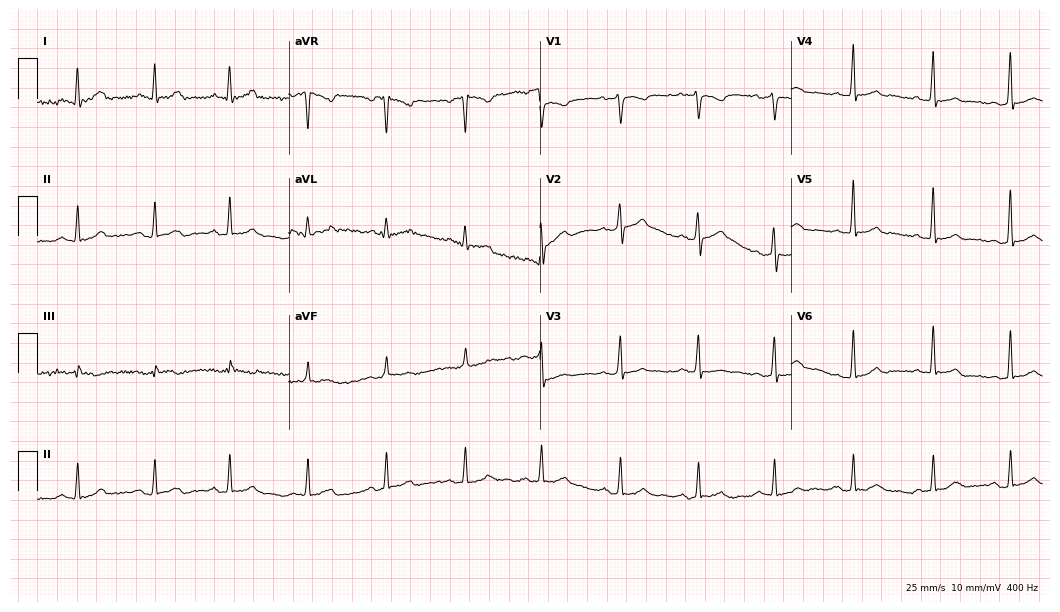
12-lead ECG from a 37-year-old woman. Recorded interpretation: within normal limits.